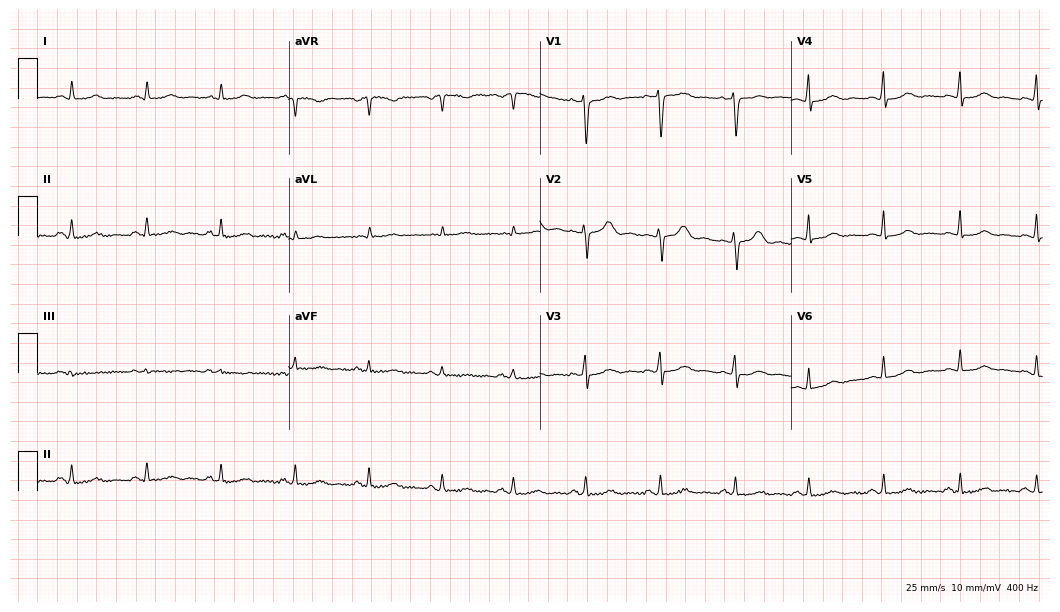
Resting 12-lead electrocardiogram (10.2-second recording at 400 Hz). Patient: a woman, 33 years old. None of these six findings is recorded: first-degree AV block, right bundle branch block, left bundle branch block, sinus bradycardia, atrial fibrillation, sinus tachycardia.